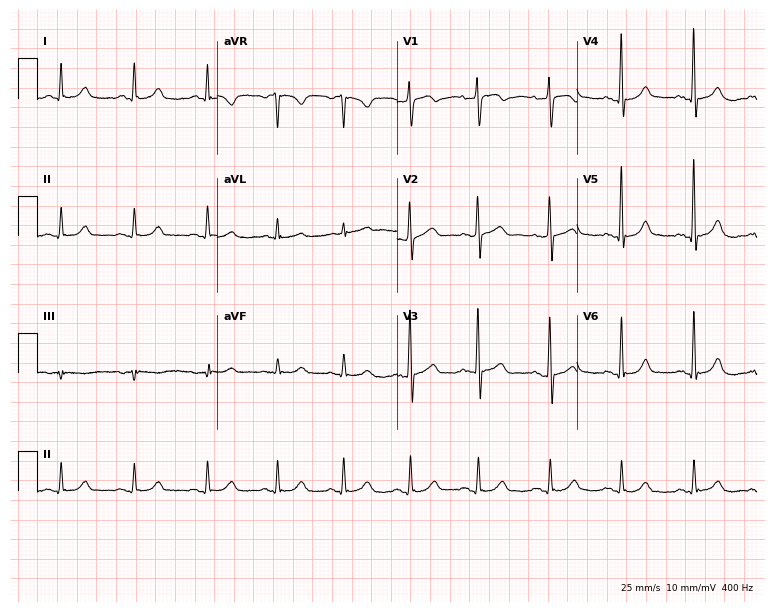
12-lead ECG from a female, 62 years old (7.3-second recording at 400 Hz). Recorded interpretation: within normal limits.